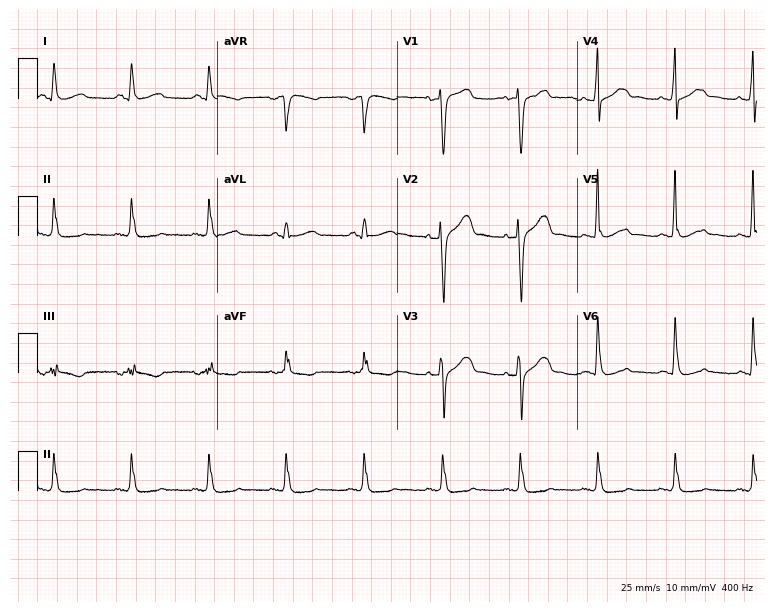
Electrocardiogram (7.3-second recording at 400 Hz), a male patient, 59 years old. Of the six screened findings (first-degree AV block, right bundle branch block (RBBB), left bundle branch block (LBBB), sinus bradycardia, atrial fibrillation (AF), sinus tachycardia), none is recorded. Other findings, if any, are not listed.